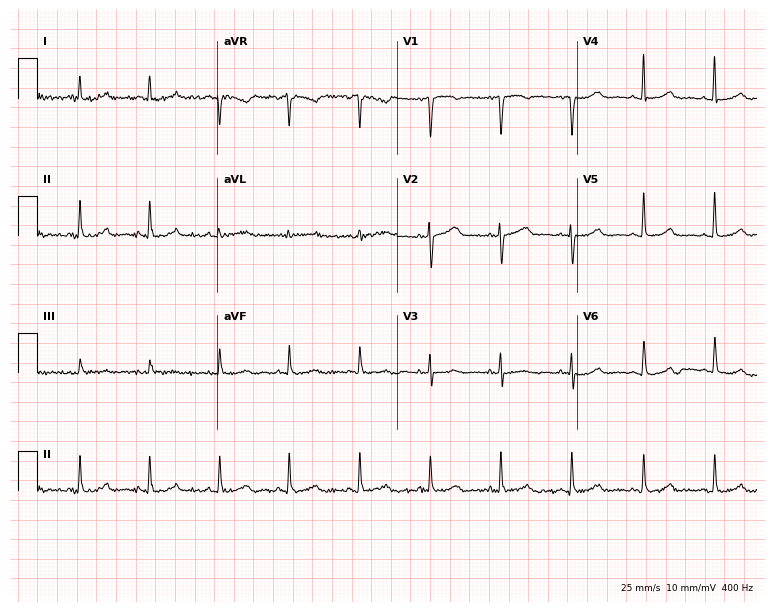
12-lead ECG from a 71-year-old woman. Screened for six findings — first-degree AV block, right bundle branch block (RBBB), left bundle branch block (LBBB), sinus bradycardia, atrial fibrillation (AF), sinus tachycardia — none is recorded.